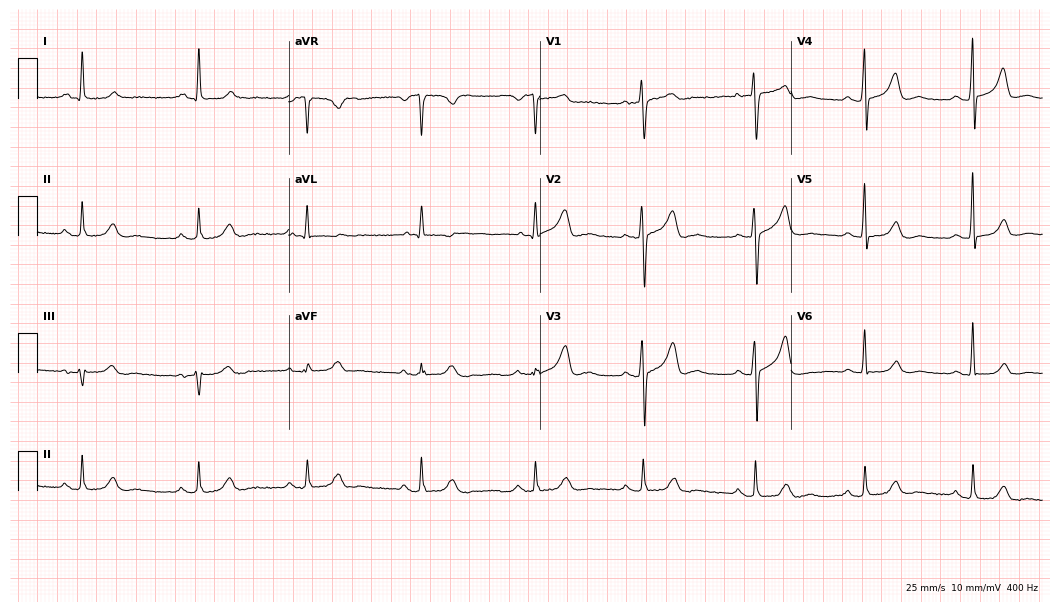
Resting 12-lead electrocardiogram. Patient: a woman, 78 years old. Read as a normal ECG.